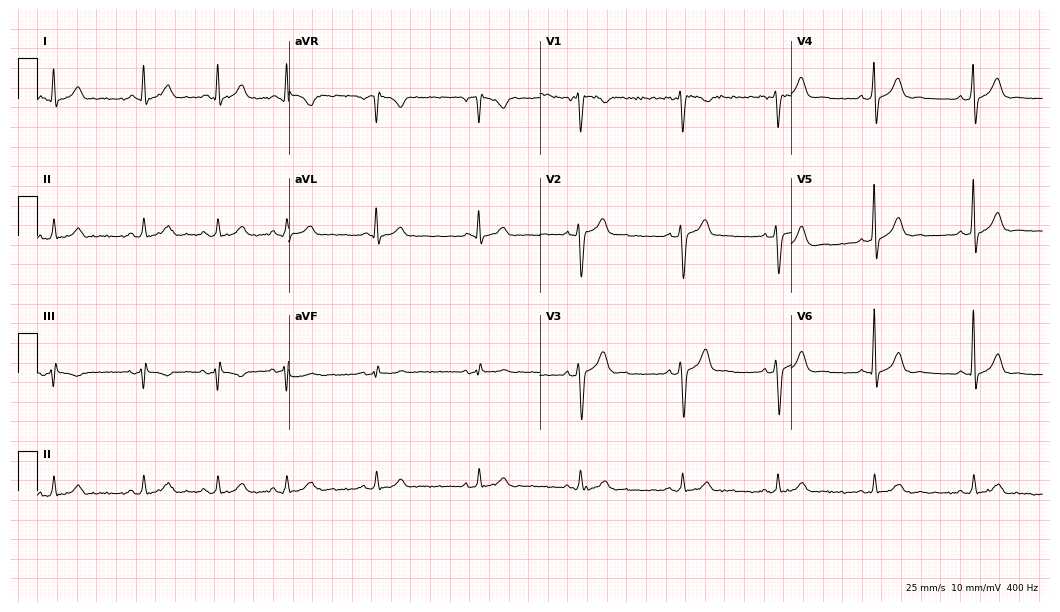
12-lead ECG (10.2-second recording at 400 Hz) from a female, 40 years old. Screened for six findings — first-degree AV block, right bundle branch block, left bundle branch block, sinus bradycardia, atrial fibrillation, sinus tachycardia — none is recorded.